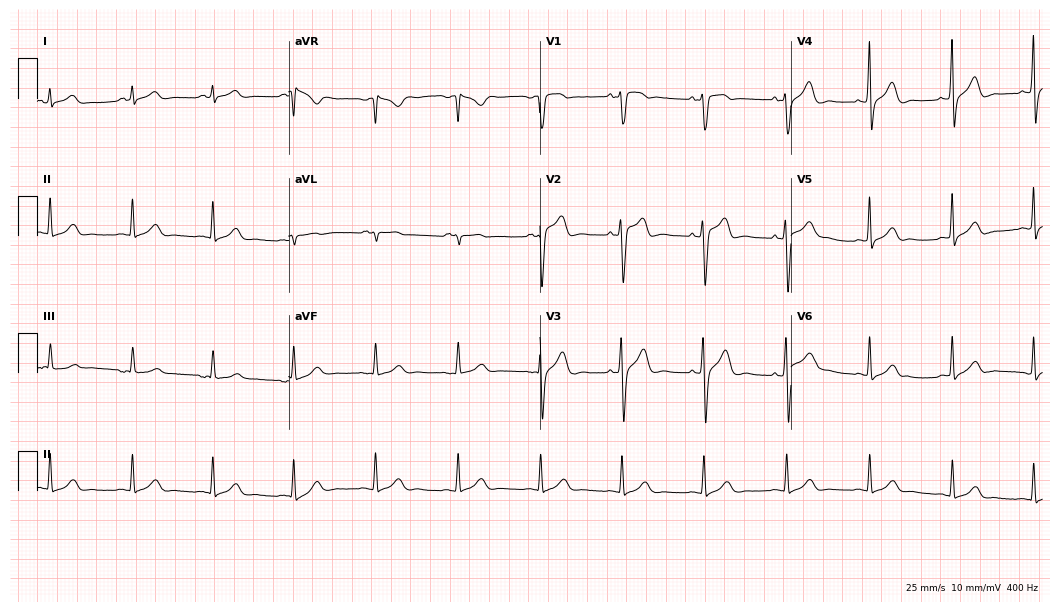
Standard 12-lead ECG recorded from a 53-year-old male patient (10.2-second recording at 400 Hz). None of these six findings is recorded: first-degree AV block, right bundle branch block (RBBB), left bundle branch block (LBBB), sinus bradycardia, atrial fibrillation (AF), sinus tachycardia. Other findings, if any, are not listed.